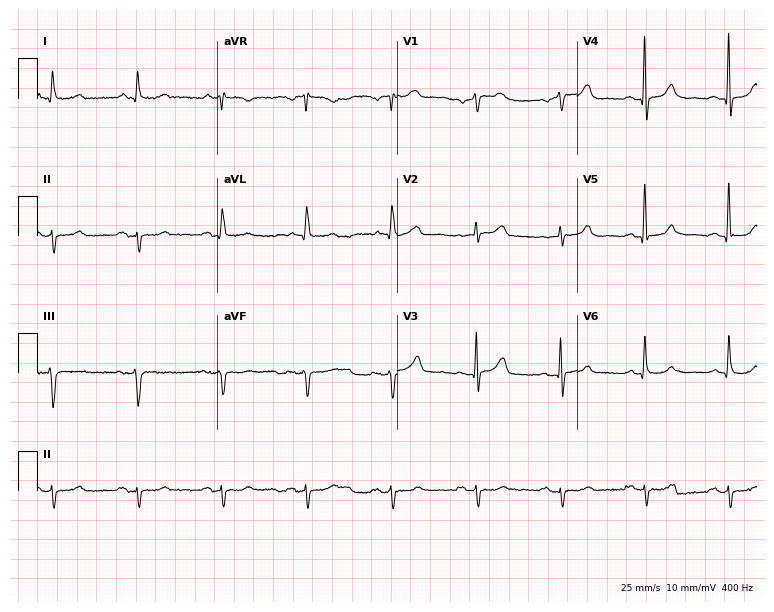
Resting 12-lead electrocardiogram. Patient: a man, 69 years old. None of these six findings is recorded: first-degree AV block, right bundle branch block, left bundle branch block, sinus bradycardia, atrial fibrillation, sinus tachycardia.